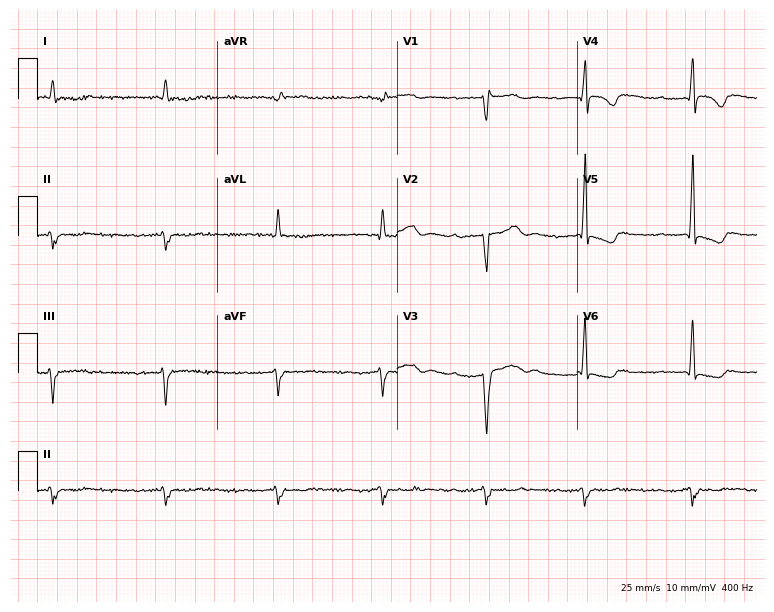
Resting 12-lead electrocardiogram (7.3-second recording at 400 Hz). Patient: a 72-year-old man. The tracing shows atrial fibrillation.